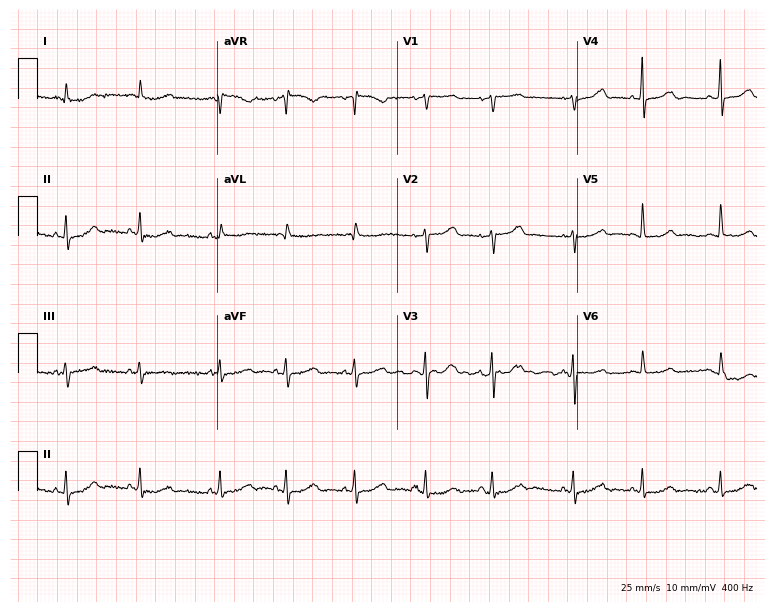
Standard 12-lead ECG recorded from an 83-year-old female patient. Read as a normal ECG.